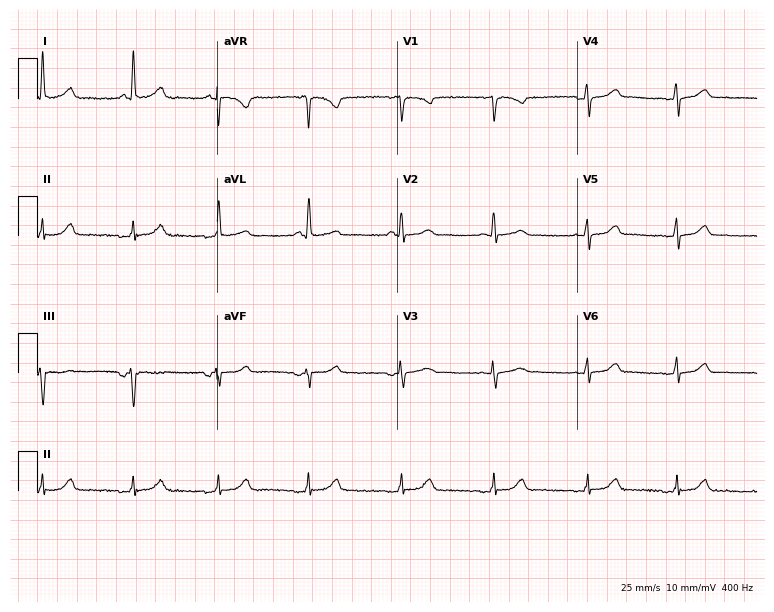
ECG — a 60-year-old woman. Labelled as a normal ECG.